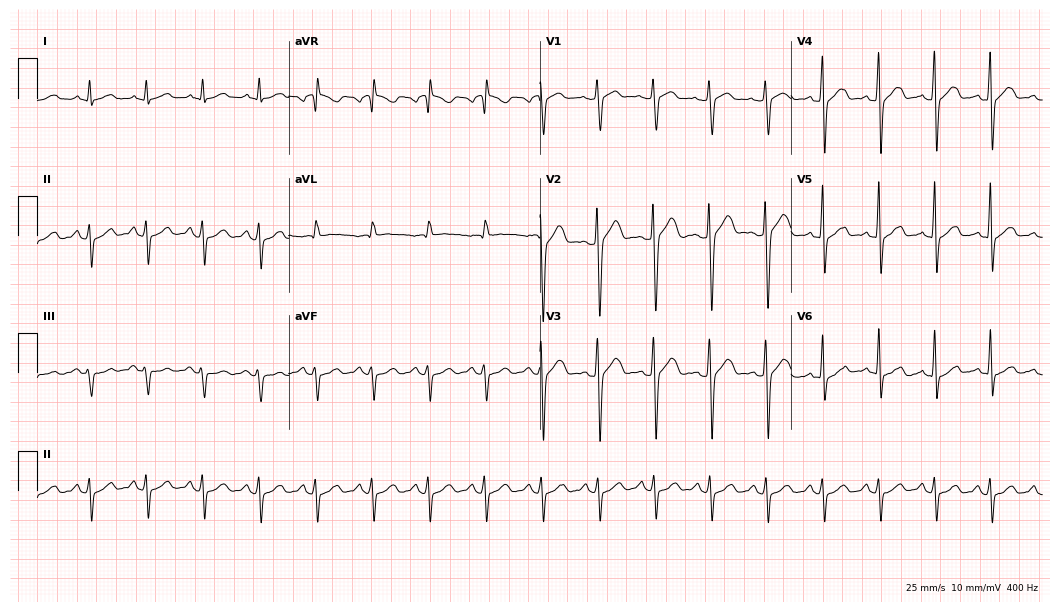
Standard 12-lead ECG recorded from a male patient, 59 years old (10.2-second recording at 400 Hz). None of these six findings is recorded: first-degree AV block, right bundle branch block, left bundle branch block, sinus bradycardia, atrial fibrillation, sinus tachycardia. Only these six findings were labelled.